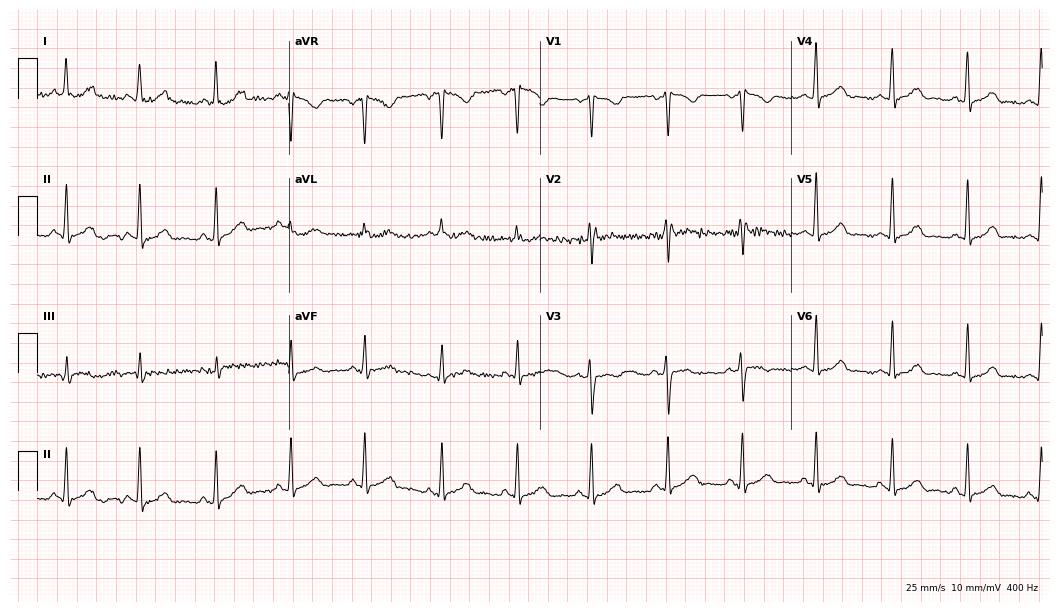
Standard 12-lead ECG recorded from a 37-year-old female (10.2-second recording at 400 Hz). None of these six findings is recorded: first-degree AV block, right bundle branch block, left bundle branch block, sinus bradycardia, atrial fibrillation, sinus tachycardia. Other findings, if any, are not listed.